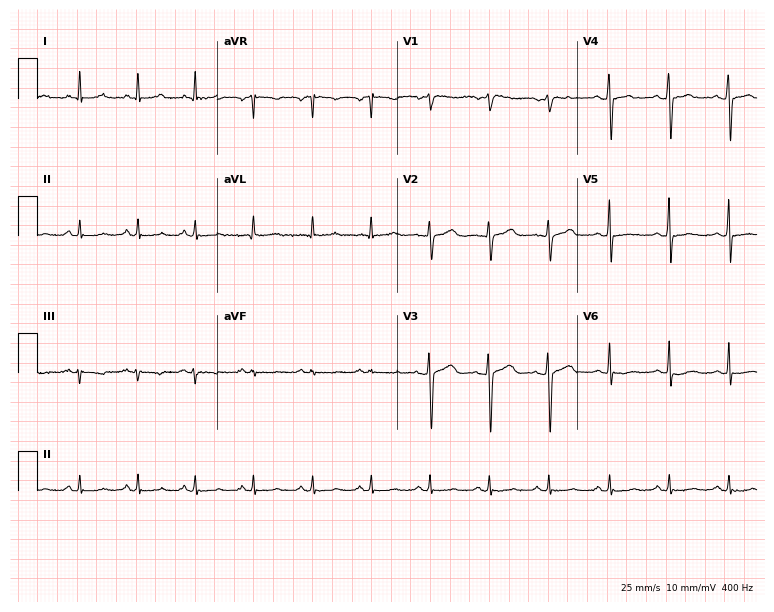
Electrocardiogram, a male patient, 36 years old. Of the six screened findings (first-degree AV block, right bundle branch block, left bundle branch block, sinus bradycardia, atrial fibrillation, sinus tachycardia), none is recorded.